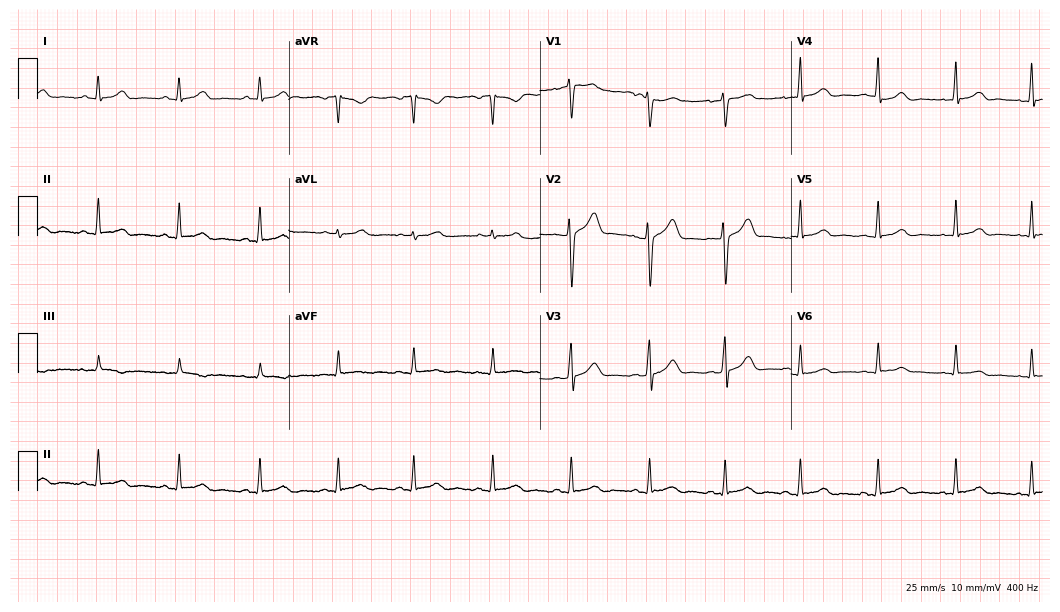
Electrocardiogram, a 20-year-old female patient. Overall reading on record: normal ECG.